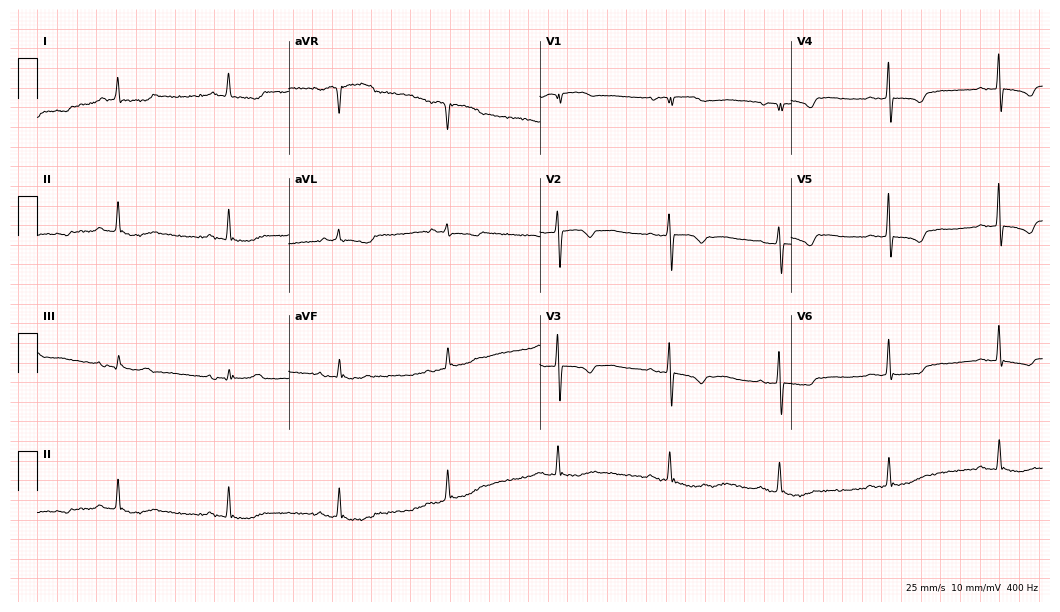
Resting 12-lead electrocardiogram. Patient: a woman, 74 years old. None of these six findings is recorded: first-degree AV block, right bundle branch block, left bundle branch block, sinus bradycardia, atrial fibrillation, sinus tachycardia.